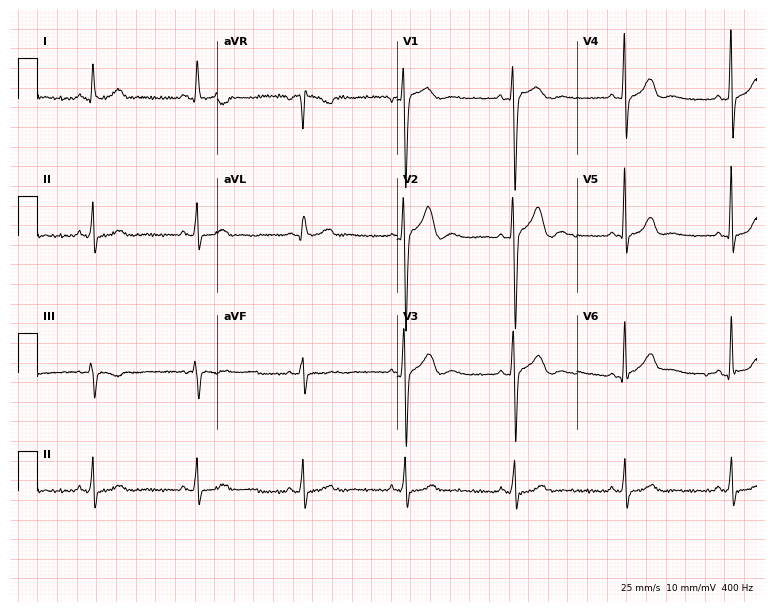
12-lead ECG (7.3-second recording at 400 Hz) from a male patient, 40 years old. Screened for six findings — first-degree AV block, right bundle branch block, left bundle branch block, sinus bradycardia, atrial fibrillation, sinus tachycardia — none is recorded. Other findings, if any, are not listed.